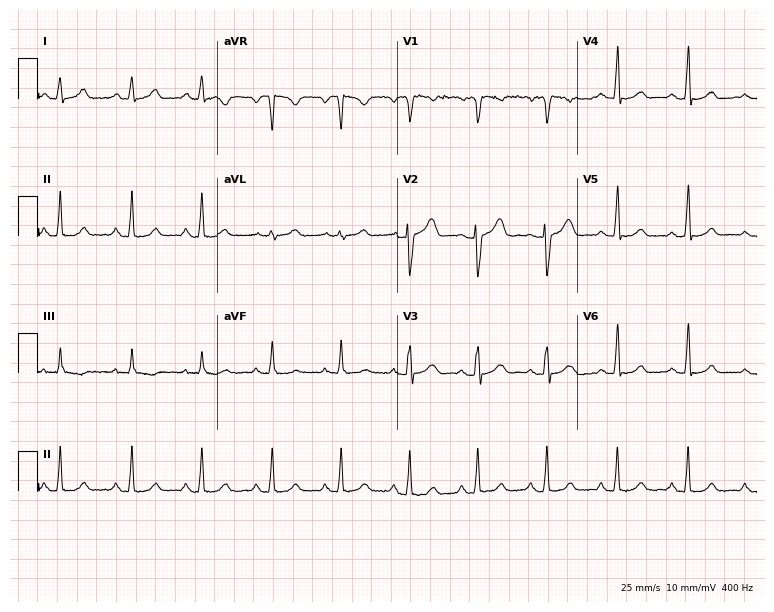
Standard 12-lead ECG recorded from a female, 25 years old. None of these six findings is recorded: first-degree AV block, right bundle branch block, left bundle branch block, sinus bradycardia, atrial fibrillation, sinus tachycardia.